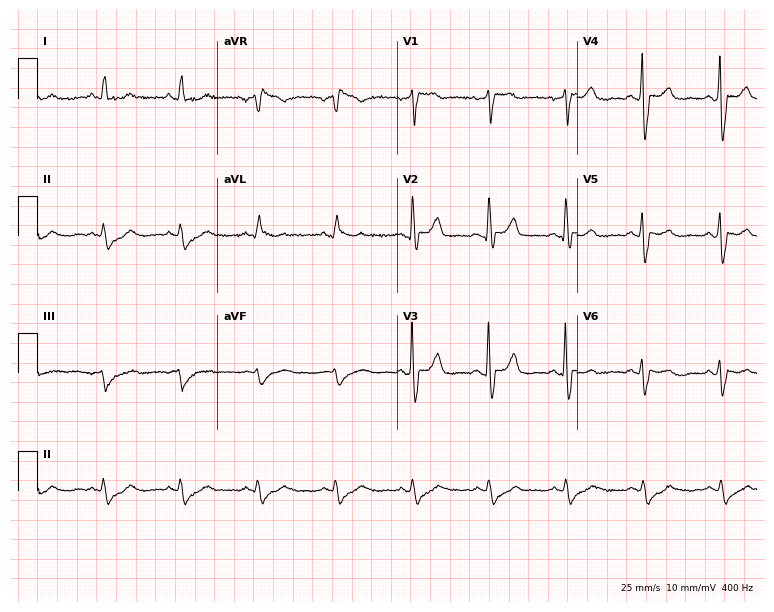
Resting 12-lead electrocardiogram (7.3-second recording at 400 Hz). Patient: a 76-year-old female. Read as a normal ECG.